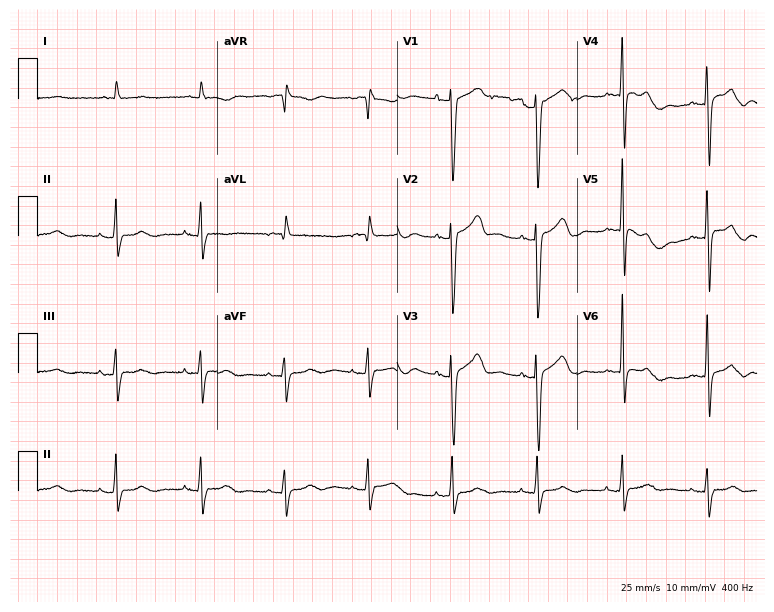
12-lead ECG (7.3-second recording at 400 Hz) from a 75-year-old woman. Labelled as a normal ECG.